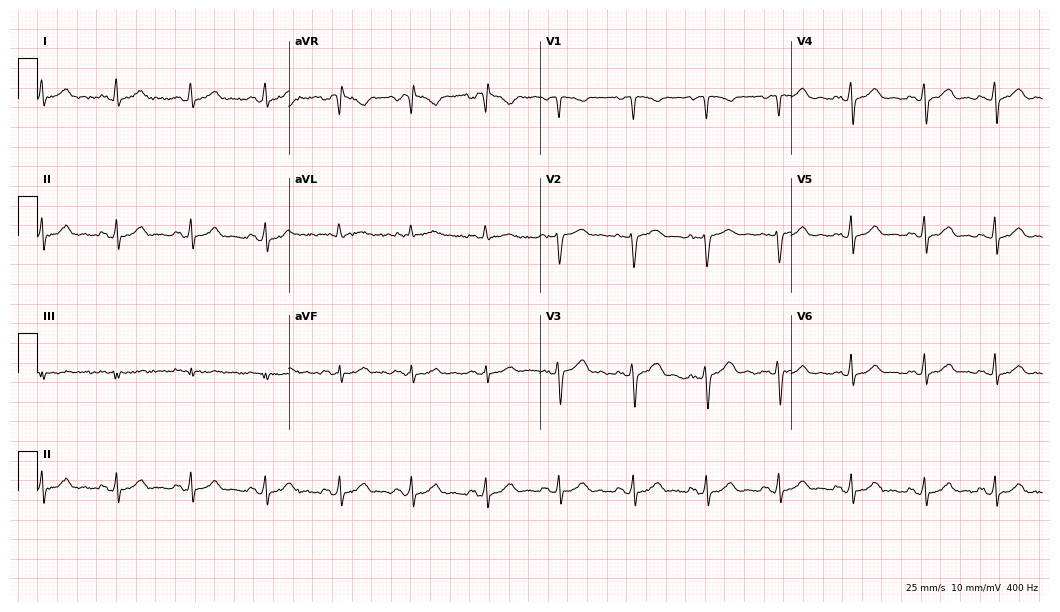
12-lead ECG from a 33-year-old woman. Labelled as a normal ECG.